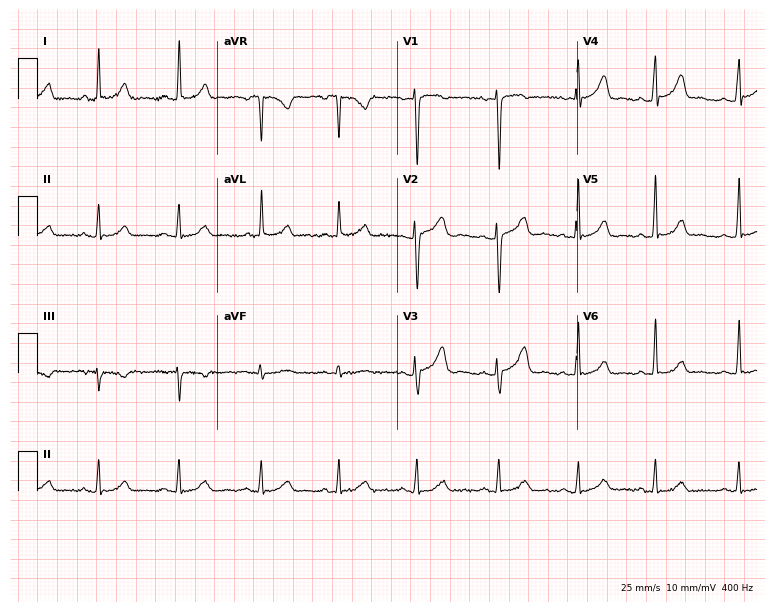
Electrocardiogram, a 46-year-old woman. Of the six screened findings (first-degree AV block, right bundle branch block (RBBB), left bundle branch block (LBBB), sinus bradycardia, atrial fibrillation (AF), sinus tachycardia), none is recorded.